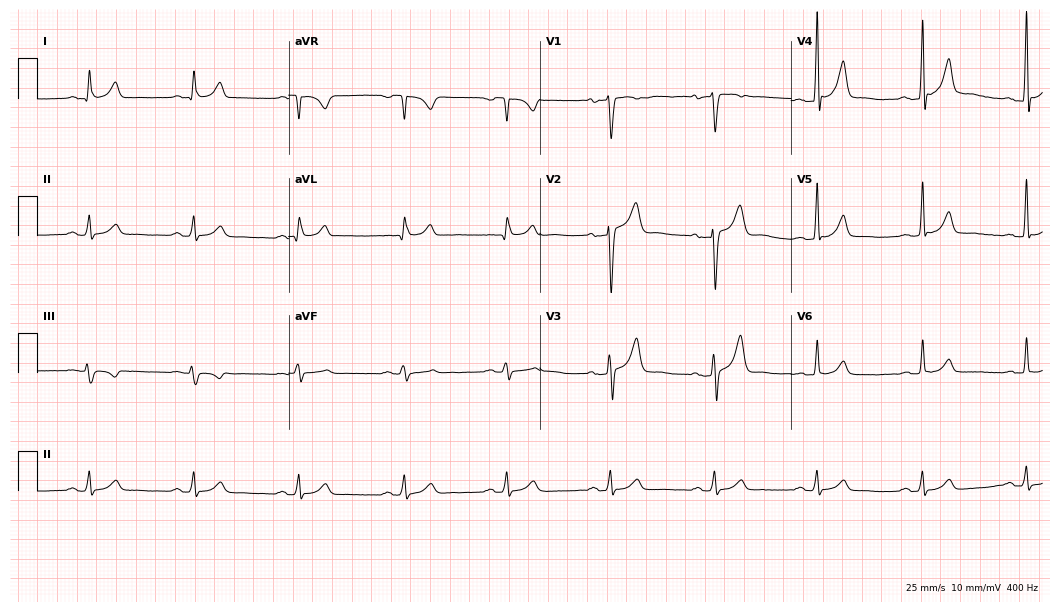
ECG — a man, 51 years old. Labelled as a normal ECG.